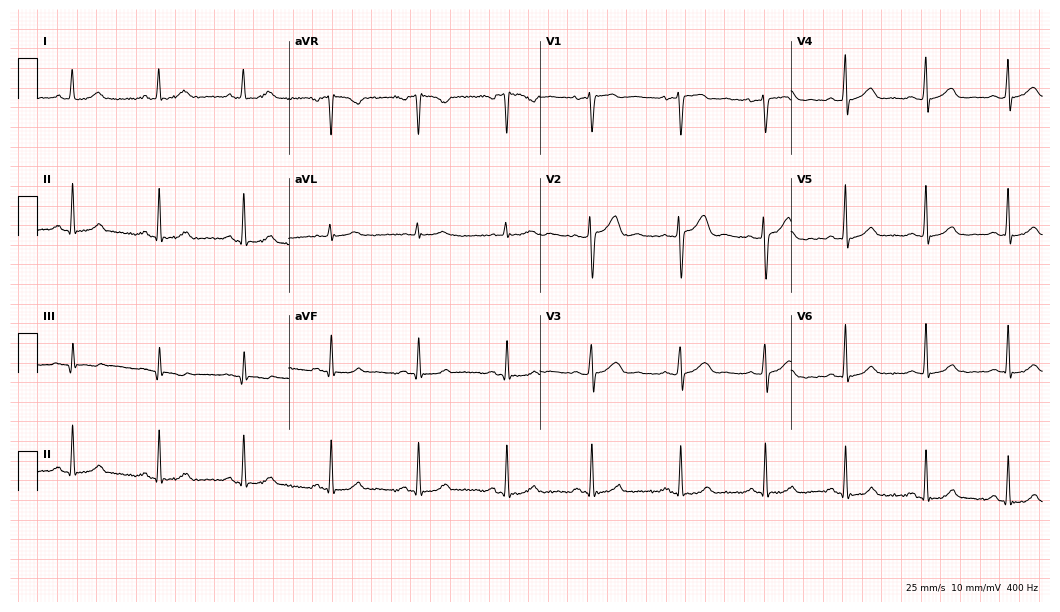
ECG — a 47-year-old female patient. Labelled as a normal ECG.